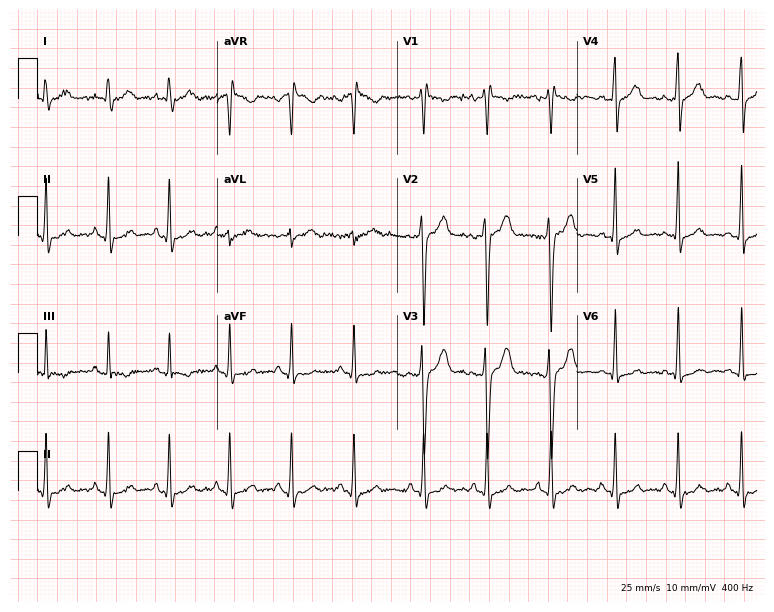
Resting 12-lead electrocardiogram (7.3-second recording at 400 Hz). Patient: a man, 19 years old. Read as a normal ECG.